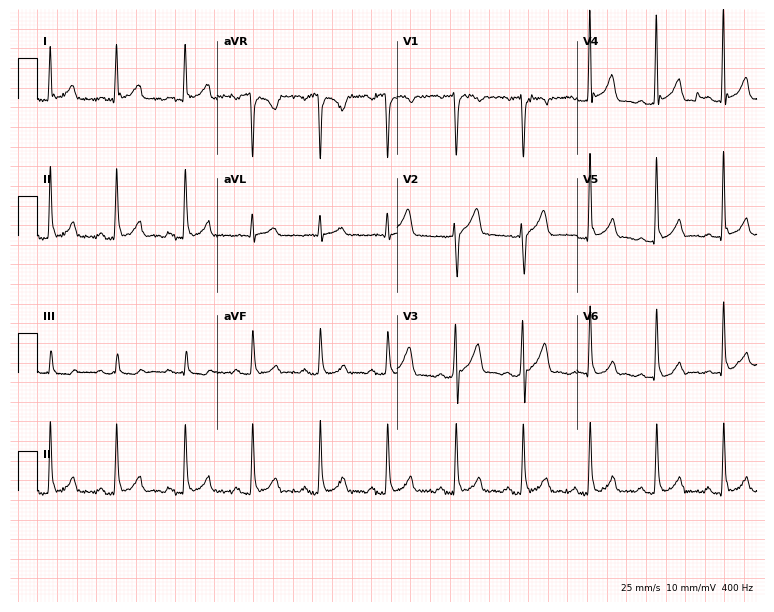
Electrocardiogram, a man, 42 years old. Overall reading on record: normal ECG.